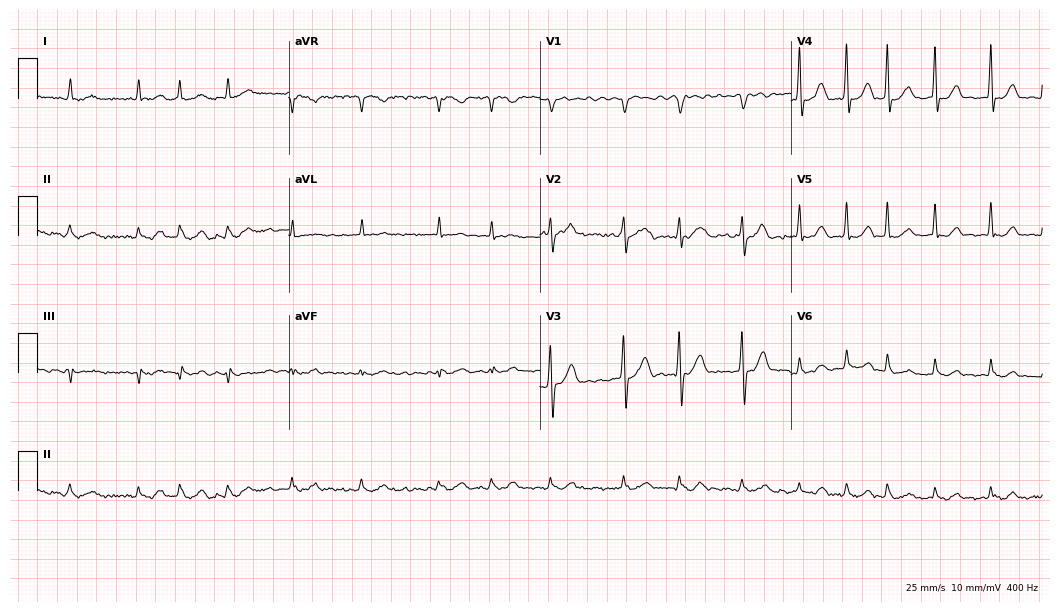
12-lead ECG from a 77-year-old male (10.2-second recording at 400 Hz). Shows atrial fibrillation (AF).